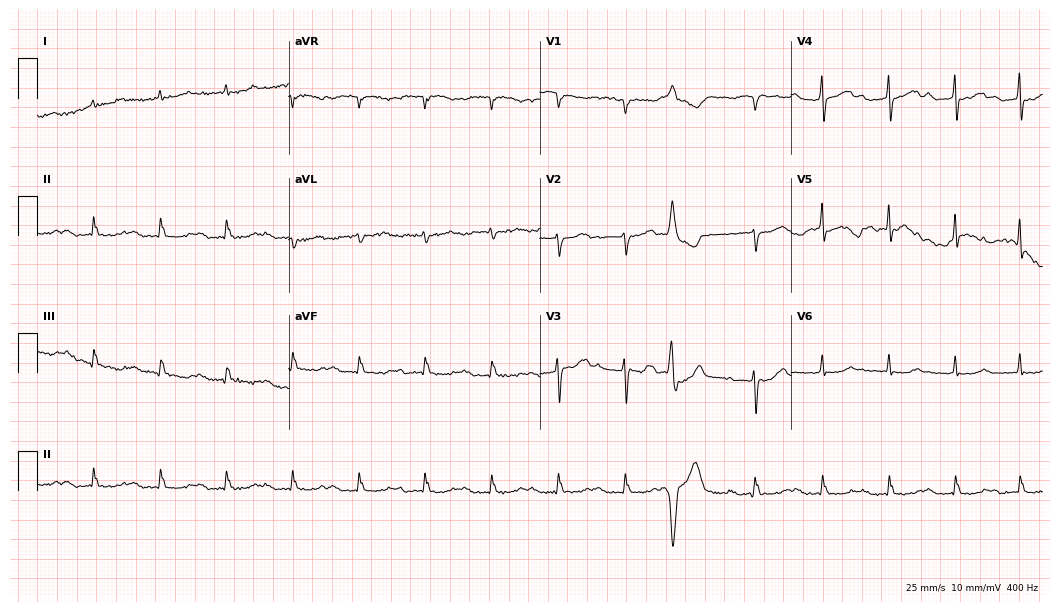
Electrocardiogram, an 84-year-old male. Interpretation includes first-degree AV block.